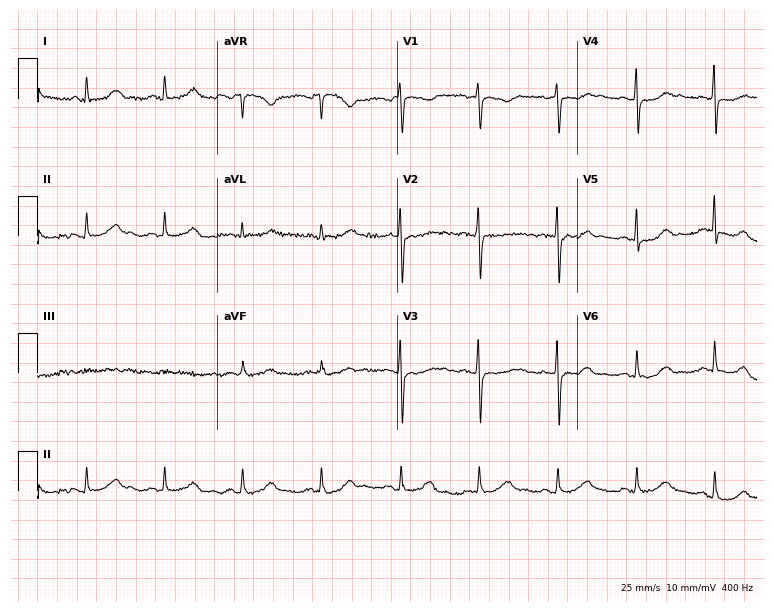
12-lead ECG (7.3-second recording at 400 Hz) from a female, 67 years old. Screened for six findings — first-degree AV block, right bundle branch block, left bundle branch block, sinus bradycardia, atrial fibrillation, sinus tachycardia — none is recorded.